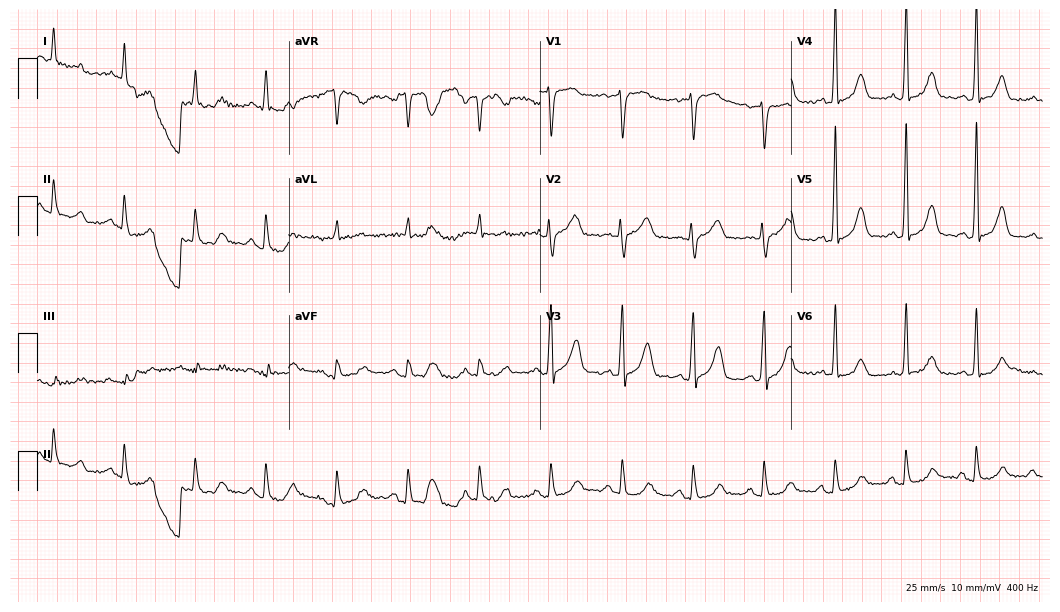
12-lead ECG from a man, 53 years old (10.2-second recording at 400 Hz). No first-degree AV block, right bundle branch block, left bundle branch block, sinus bradycardia, atrial fibrillation or sinus tachycardia recorded for this tracing.